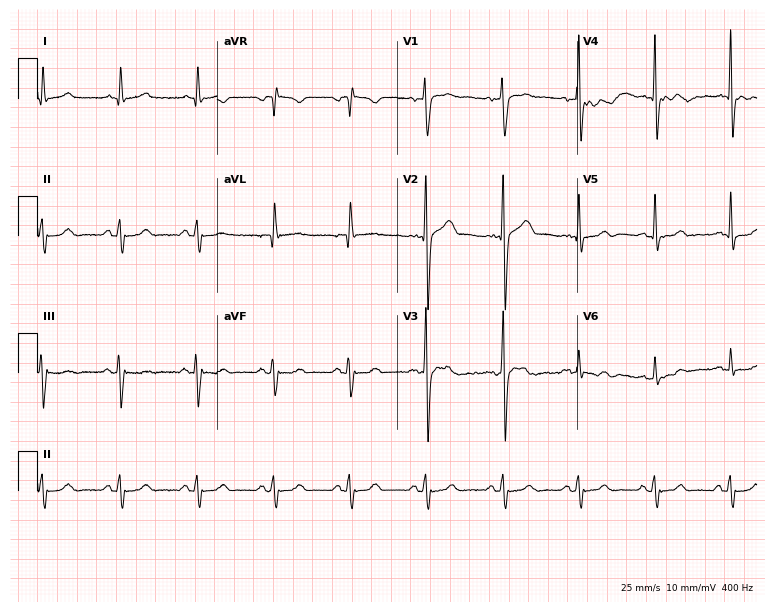
Electrocardiogram, a 57-year-old male patient. Of the six screened findings (first-degree AV block, right bundle branch block, left bundle branch block, sinus bradycardia, atrial fibrillation, sinus tachycardia), none is recorded.